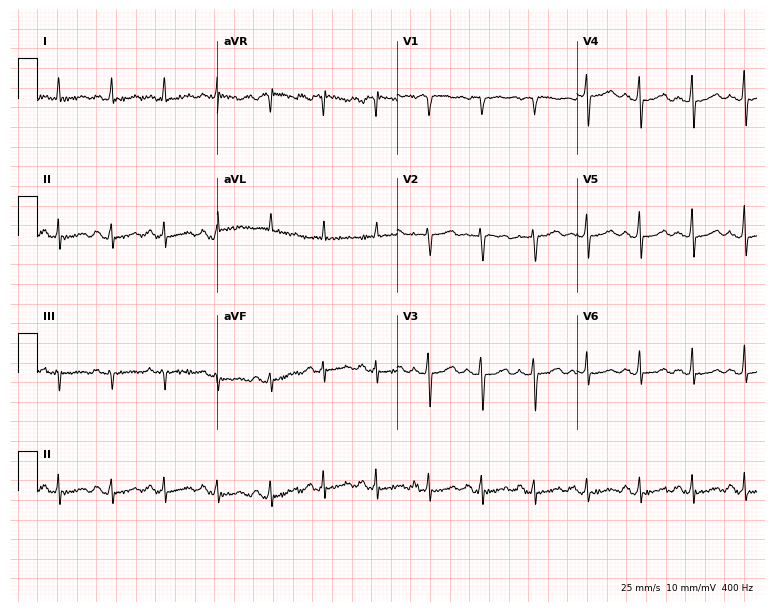
ECG (7.3-second recording at 400 Hz) — a female, 58 years old. Screened for six findings — first-degree AV block, right bundle branch block, left bundle branch block, sinus bradycardia, atrial fibrillation, sinus tachycardia — none is recorded.